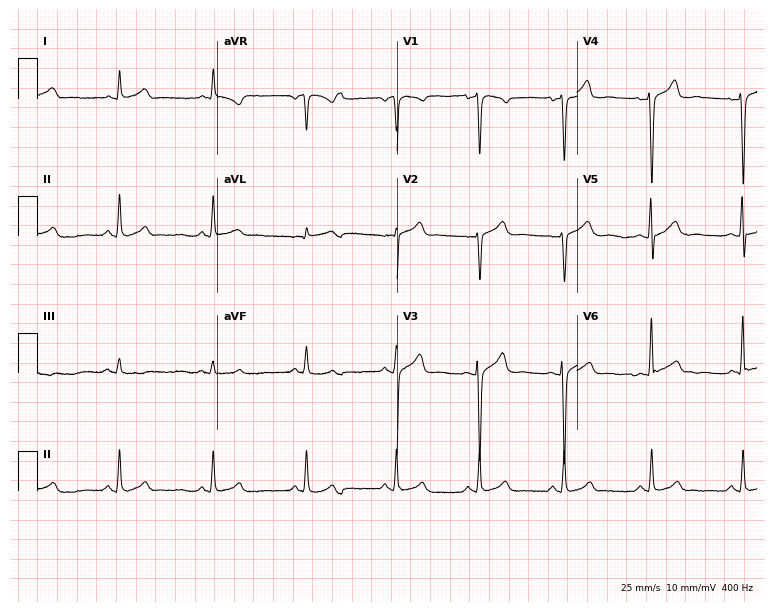
12-lead ECG from a male patient, 18 years old (7.3-second recording at 400 Hz). Recorded interpretation: within normal limits.